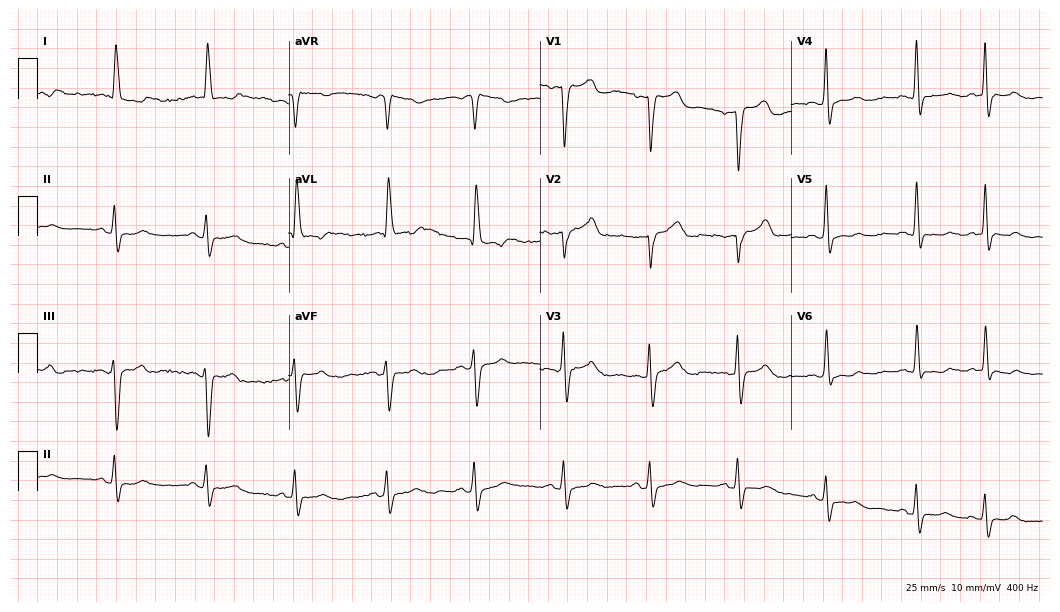
ECG — a 70-year-old female patient. Screened for six findings — first-degree AV block, right bundle branch block, left bundle branch block, sinus bradycardia, atrial fibrillation, sinus tachycardia — none is recorded. Only these six findings were labelled.